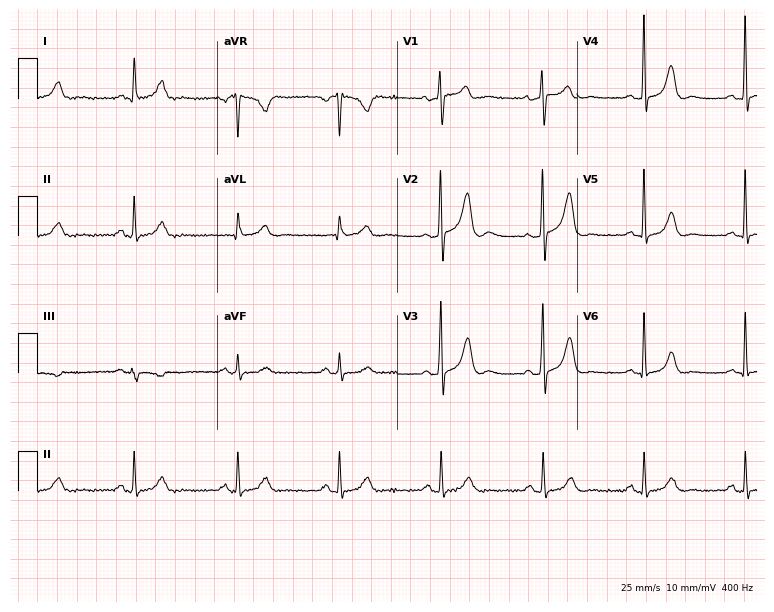
Resting 12-lead electrocardiogram. Patient: a 71-year-old male. Read as a normal ECG.